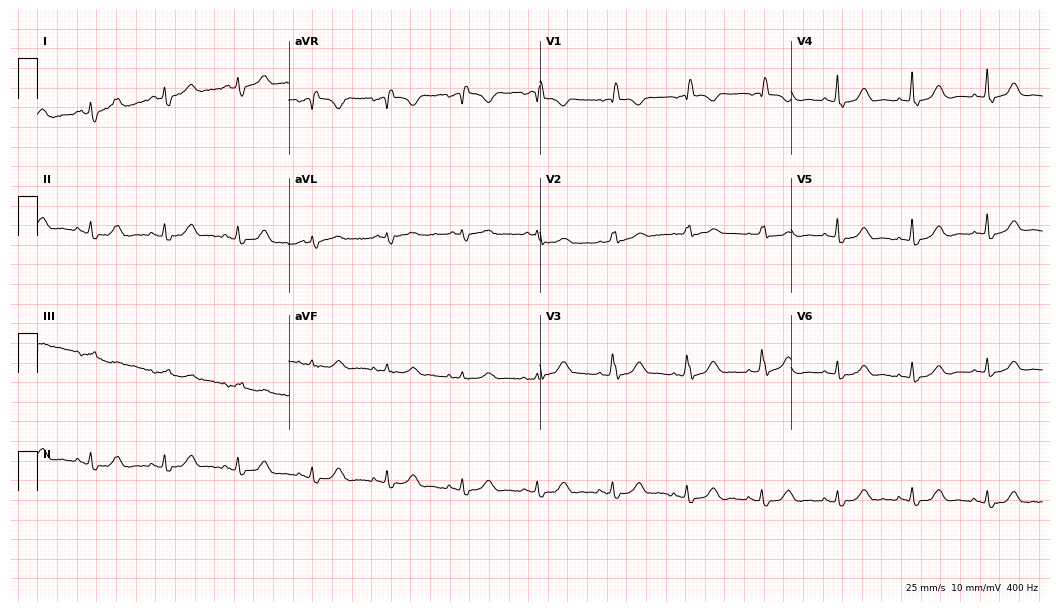
12-lead ECG (10.2-second recording at 400 Hz) from a 74-year-old female. Screened for six findings — first-degree AV block, right bundle branch block, left bundle branch block, sinus bradycardia, atrial fibrillation, sinus tachycardia — none is recorded.